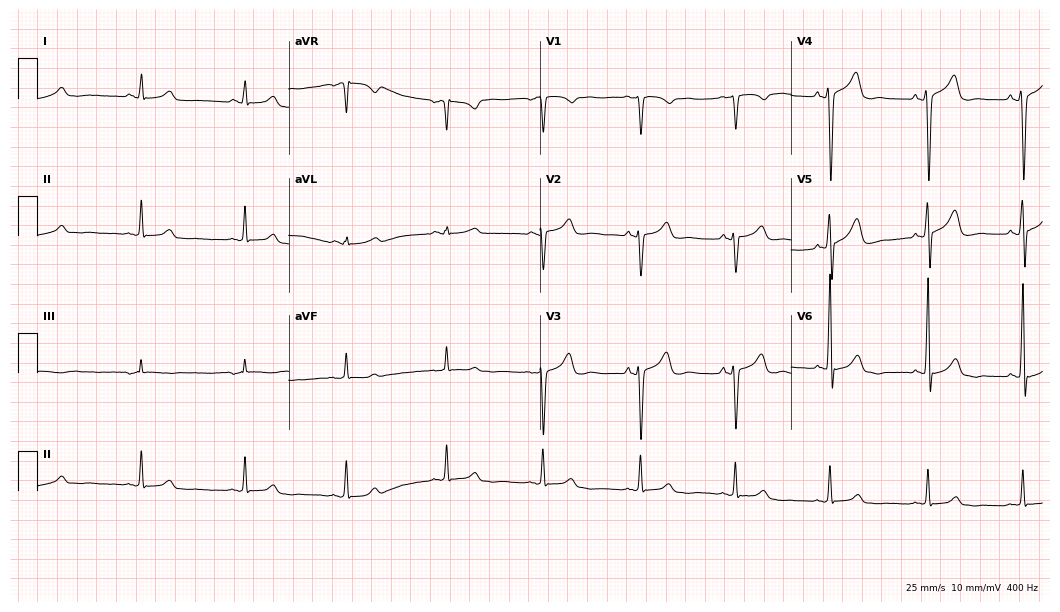
Resting 12-lead electrocardiogram (10.2-second recording at 400 Hz). Patient: a male, 28 years old. None of these six findings is recorded: first-degree AV block, right bundle branch block (RBBB), left bundle branch block (LBBB), sinus bradycardia, atrial fibrillation (AF), sinus tachycardia. Only these six findings were labelled.